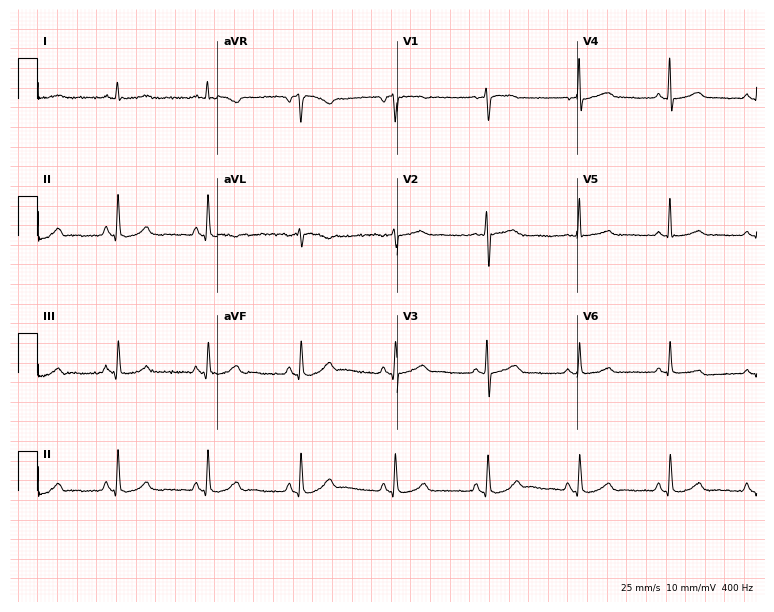
12-lead ECG from a female patient, 65 years old (7.3-second recording at 400 Hz). Recorded interpretation: within normal limits.